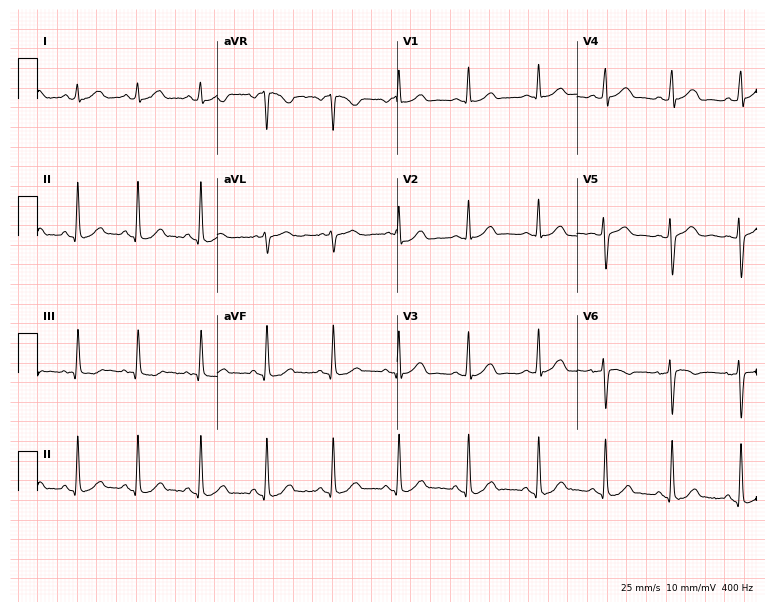
ECG (7.3-second recording at 400 Hz) — a woman, 25 years old. Screened for six findings — first-degree AV block, right bundle branch block (RBBB), left bundle branch block (LBBB), sinus bradycardia, atrial fibrillation (AF), sinus tachycardia — none is recorded. Only these six findings were labelled.